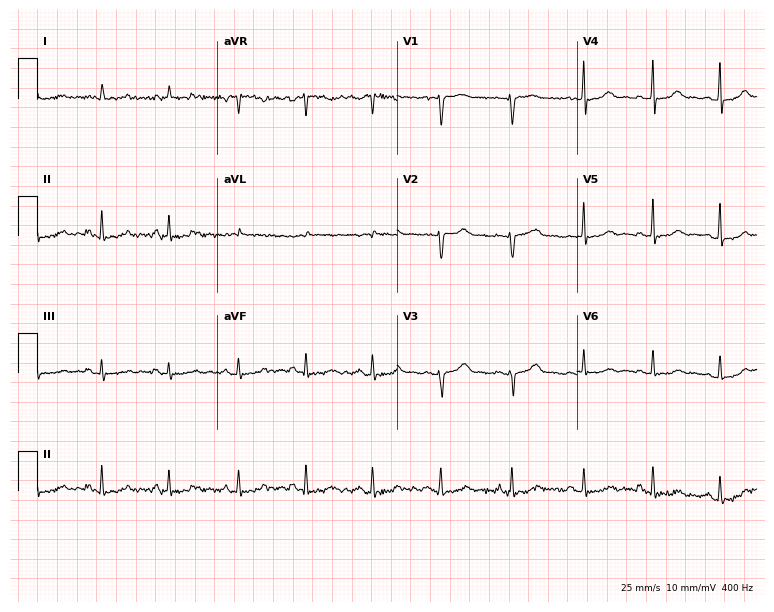
Resting 12-lead electrocardiogram (7.3-second recording at 400 Hz). Patient: a 45-year-old woman. None of these six findings is recorded: first-degree AV block, right bundle branch block (RBBB), left bundle branch block (LBBB), sinus bradycardia, atrial fibrillation (AF), sinus tachycardia. Findings outside these six are not listed.